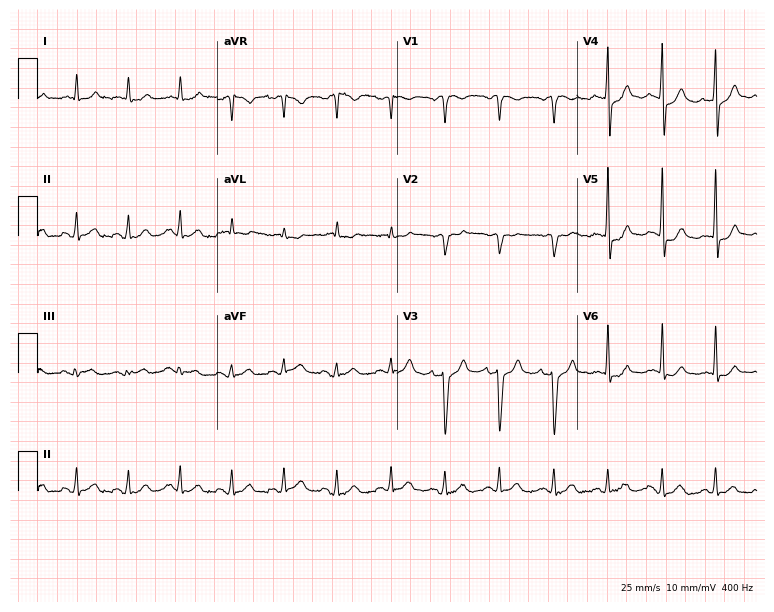
Resting 12-lead electrocardiogram. Patient: a 43-year-old male. The tracing shows sinus tachycardia (a sinus rate of 100 beats per minute or more).